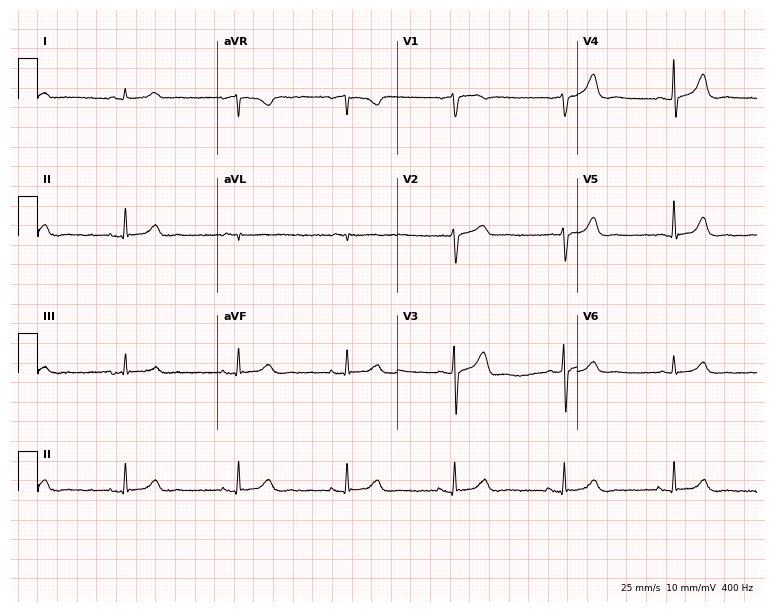
12-lead ECG from a male patient, 74 years old. Screened for six findings — first-degree AV block, right bundle branch block, left bundle branch block, sinus bradycardia, atrial fibrillation, sinus tachycardia — none is recorded. Other findings, if any, are not listed.